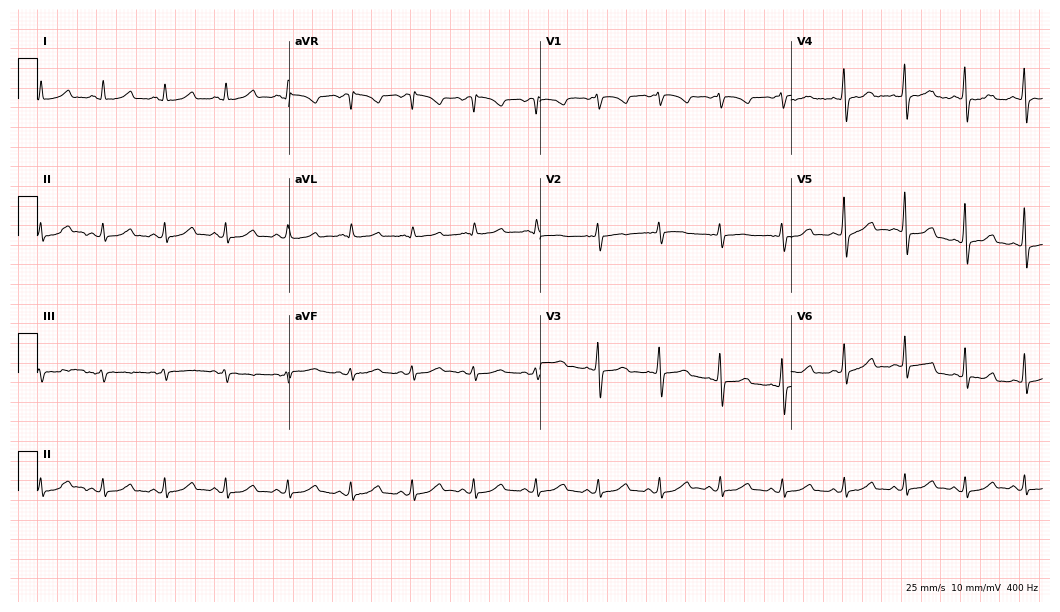
12-lead ECG (10.2-second recording at 400 Hz) from a woman, 36 years old. Labelled as a normal ECG.